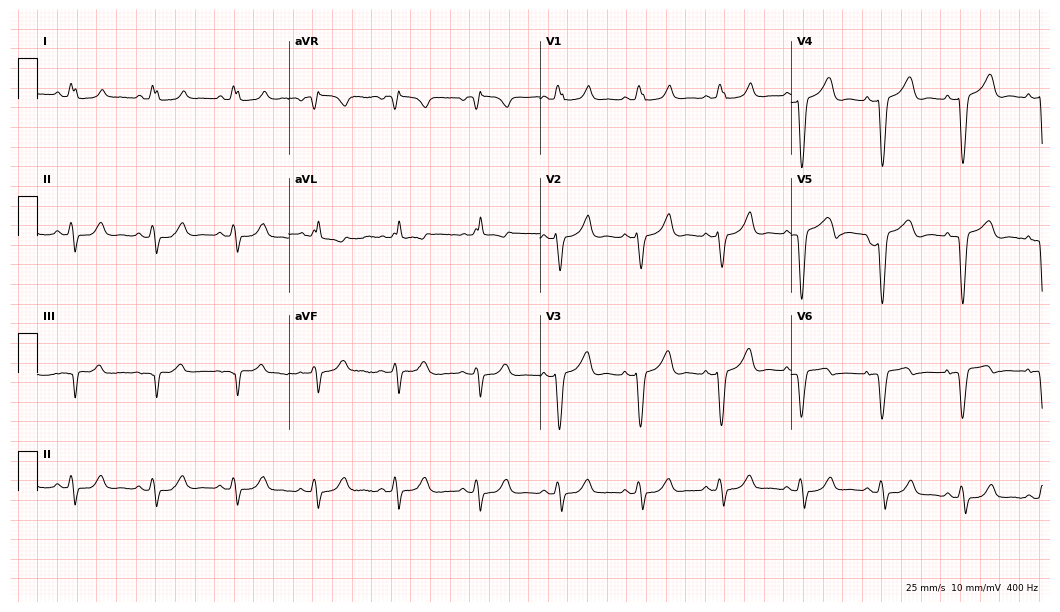
12-lead ECG from a female, 82 years old. Screened for six findings — first-degree AV block, right bundle branch block, left bundle branch block, sinus bradycardia, atrial fibrillation, sinus tachycardia — none is recorded.